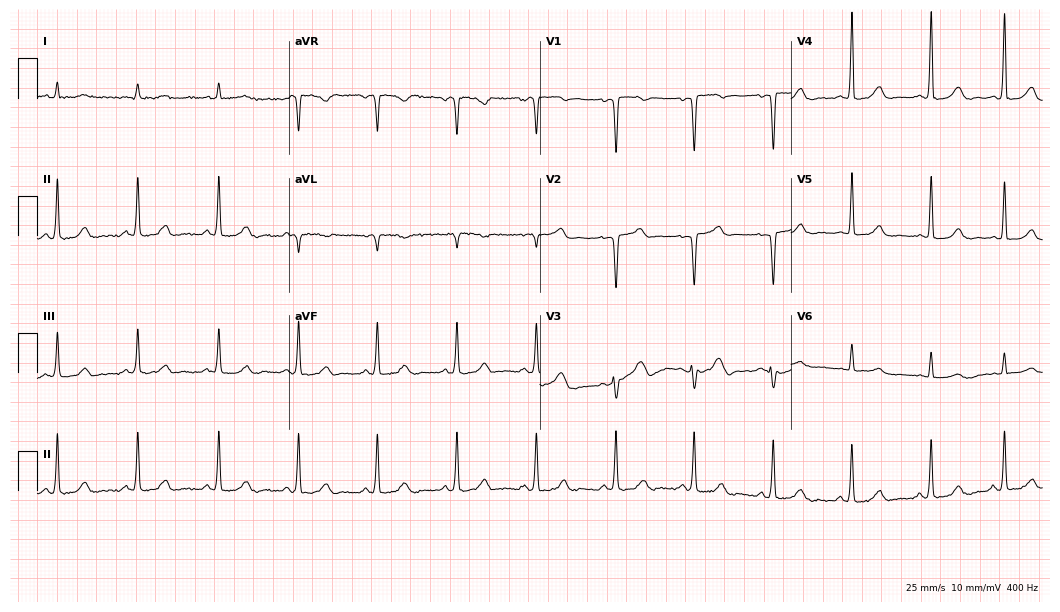
ECG (10.2-second recording at 400 Hz) — a 47-year-old man. Labelled as a normal ECG.